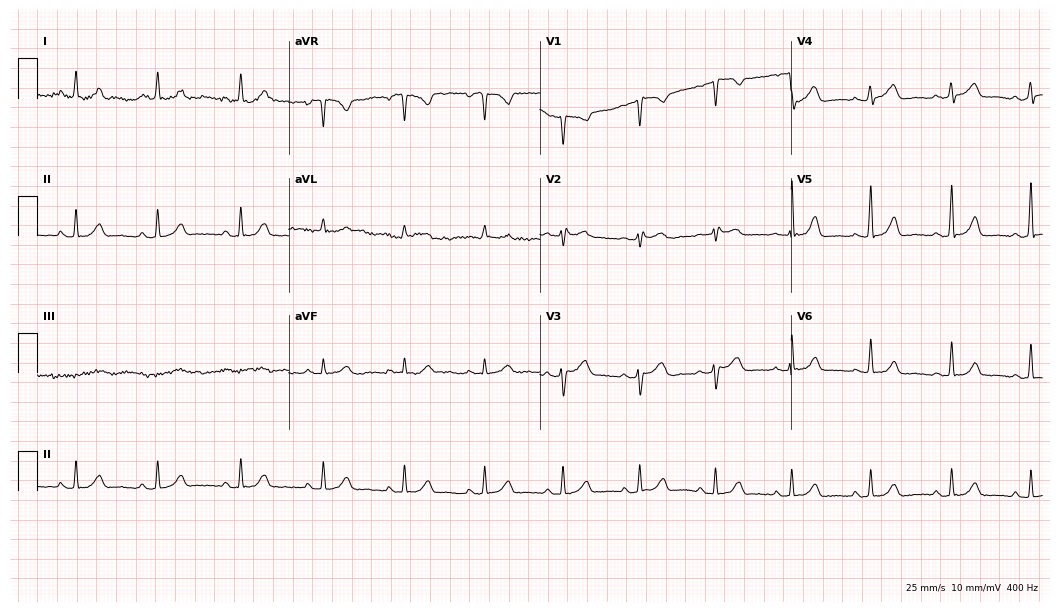
12-lead ECG from a 48-year-old woman. No first-degree AV block, right bundle branch block, left bundle branch block, sinus bradycardia, atrial fibrillation or sinus tachycardia recorded for this tracing. Findings outside these six are not listed.